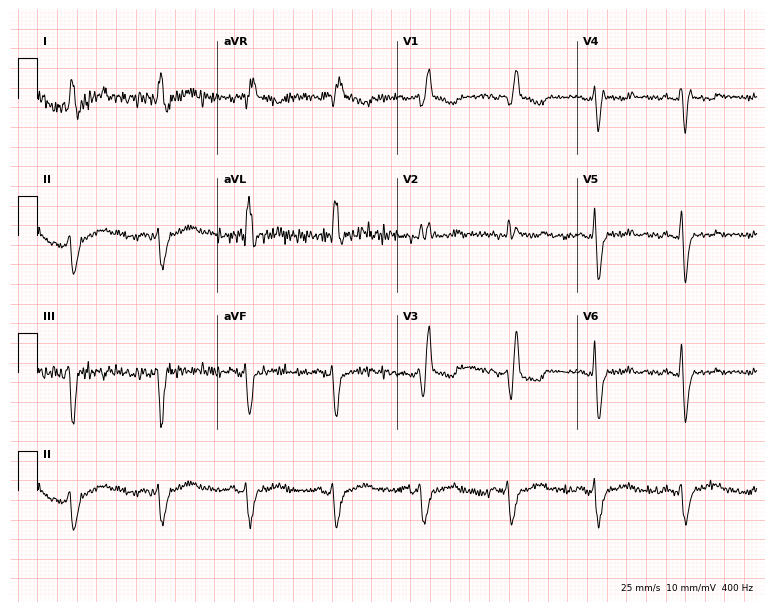
Electrocardiogram (7.3-second recording at 400 Hz), an 83-year-old male patient. Of the six screened findings (first-degree AV block, right bundle branch block (RBBB), left bundle branch block (LBBB), sinus bradycardia, atrial fibrillation (AF), sinus tachycardia), none is recorded.